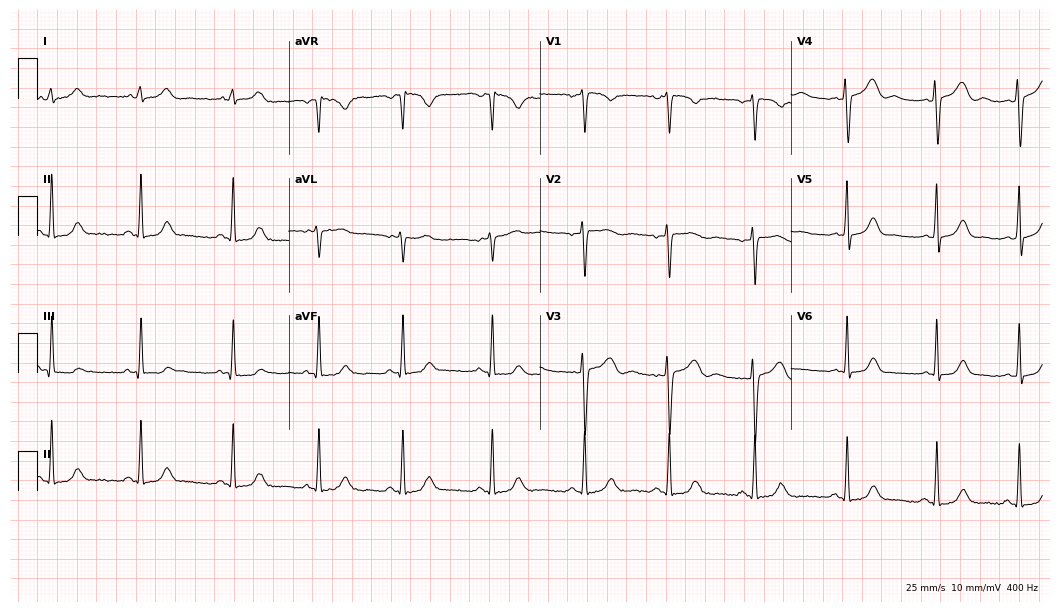
Electrocardiogram, a woman, 45 years old. Overall reading on record: normal ECG.